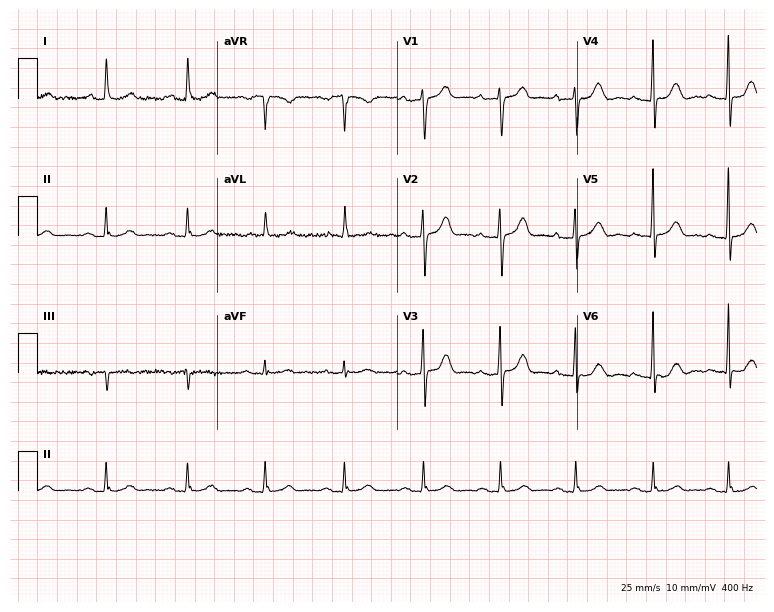
Standard 12-lead ECG recorded from a female patient, 75 years old (7.3-second recording at 400 Hz). Read as a normal ECG.